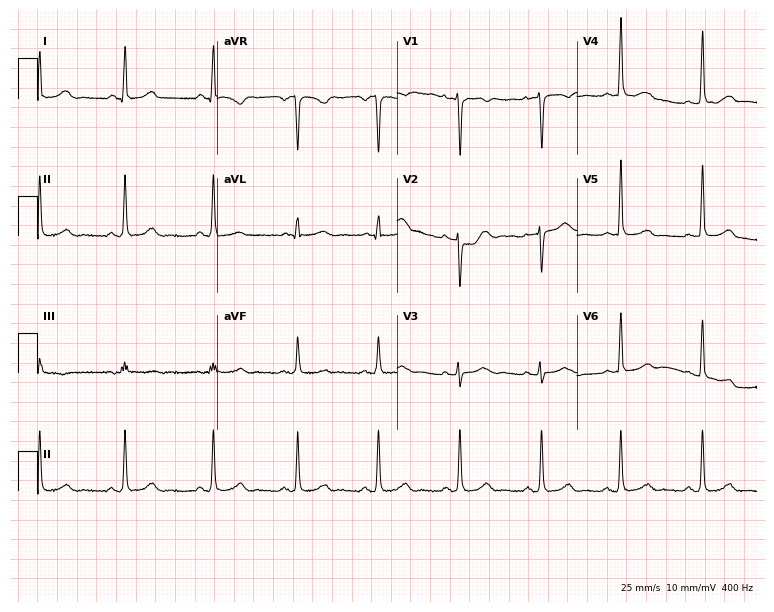
12-lead ECG from a 24-year-old woman. Recorded interpretation: within normal limits.